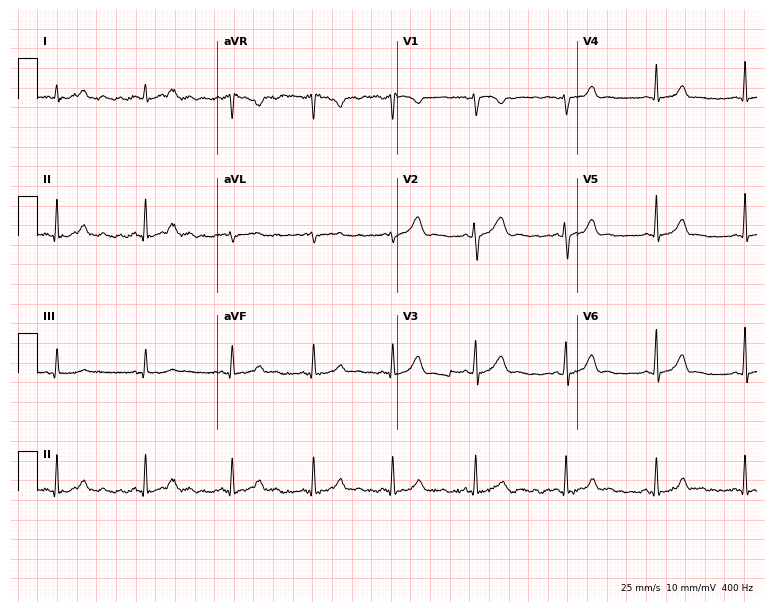
ECG (7.3-second recording at 400 Hz) — a woman, 28 years old. Labelled as a normal ECG.